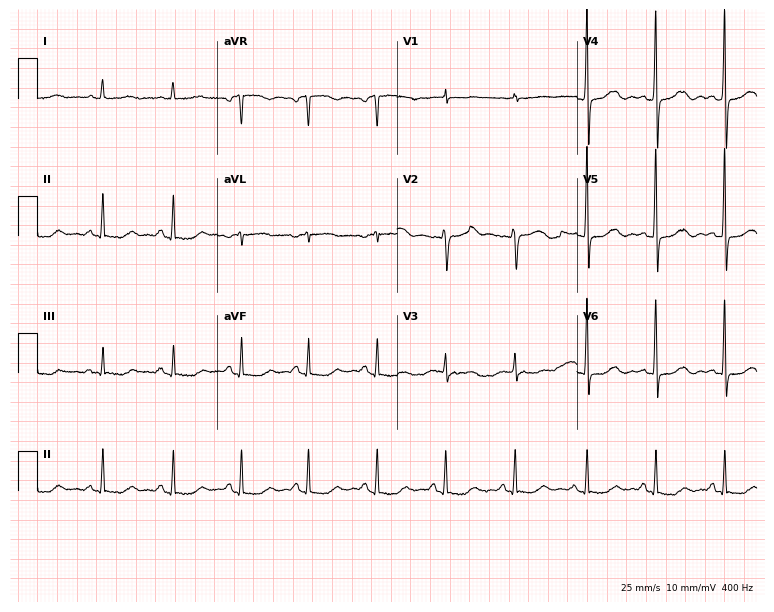
ECG — a female patient, 39 years old. Screened for six findings — first-degree AV block, right bundle branch block, left bundle branch block, sinus bradycardia, atrial fibrillation, sinus tachycardia — none is recorded.